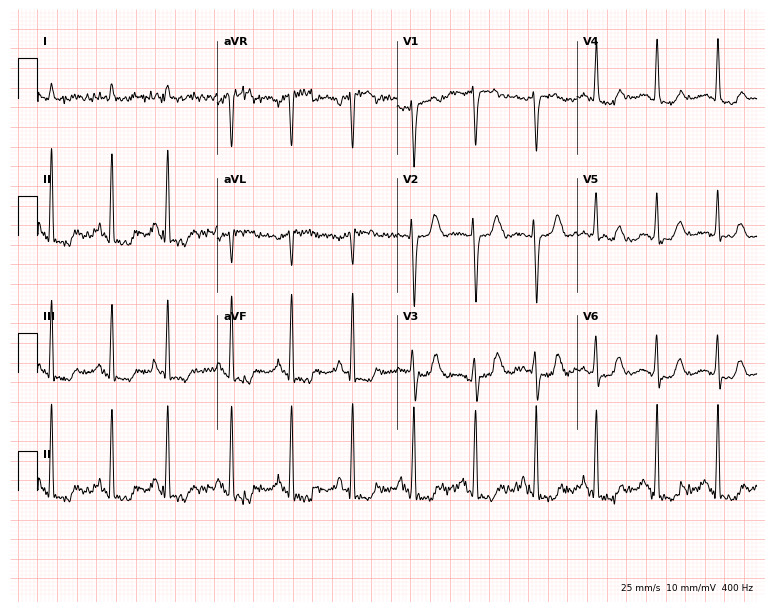
12-lead ECG from a female, 63 years old (7.3-second recording at 400 Hz). No first-degree AV block, right bundle branch block (RBBB), left bundle branch block (LBBB), sinus bradycardia, atrial fibrillation (AF) or sinus tachycardia recorded for this tracing.